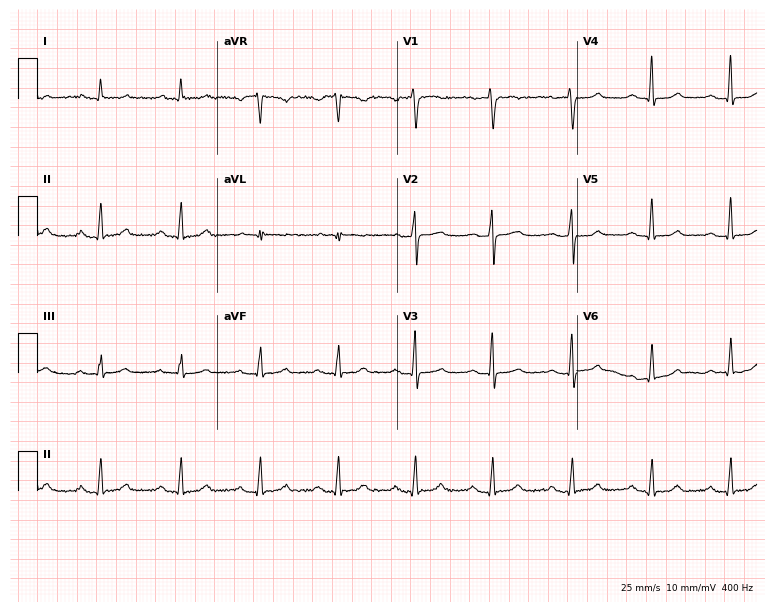
12-lead ECG from a 45-year-old female. Labelled as a normal ECG.